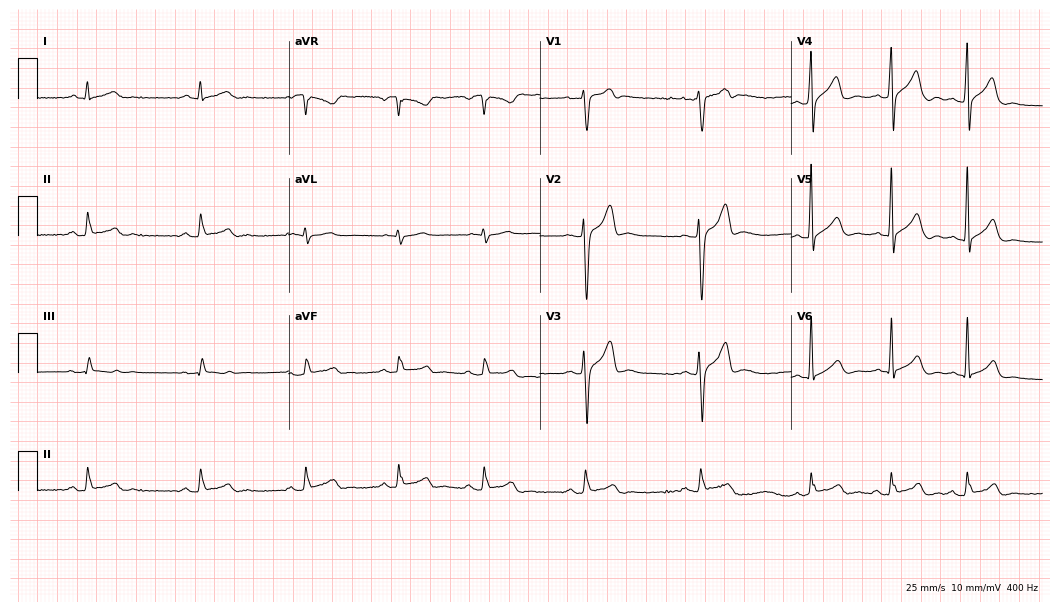
12-lead ECG from a male, 18 years old. No first-degree AV block, right bundle branch block, left bundle branch block, sinus bradycardia, atrial fibrillation or sinus tachycardia recorded for this tracing.